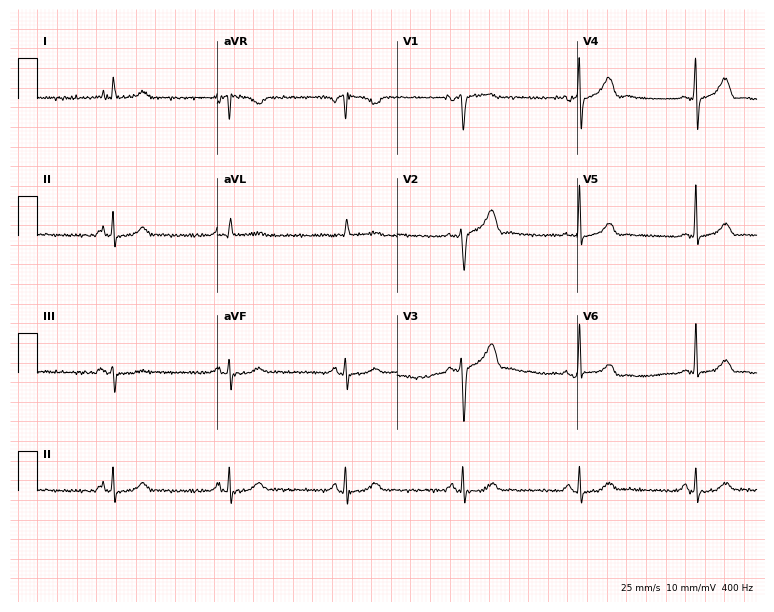
Resting 12-lead electrocardiogram (7.3-second recording at 400 Hz). Patient: a man, 73 years old. Read as a normal ECG.